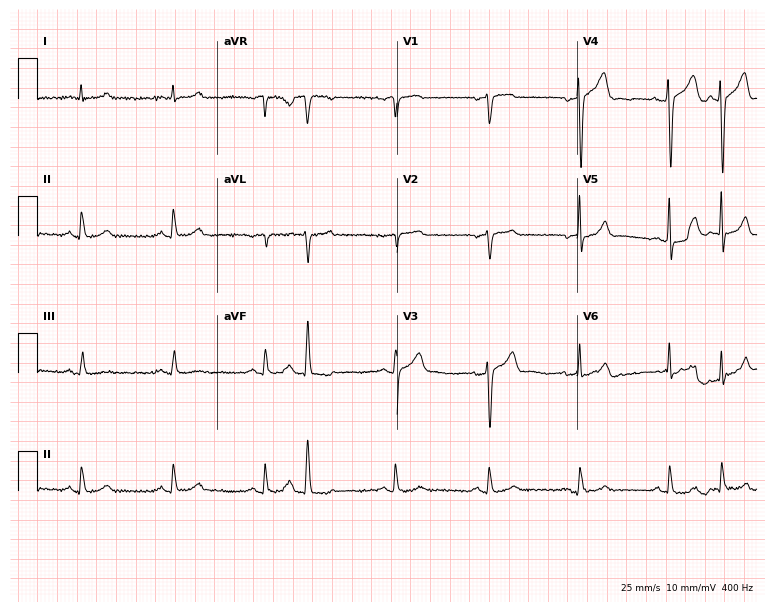
Resting 12-lead electrocardiogram. Patient: a man, 57 years old. None of these six findings is recorded: first-degree AV block, right bundle branch block, left bundle branch block, sinus bradycardia, atrial fibrillation, sinus tachycardia. Findings outside these six are not listed.